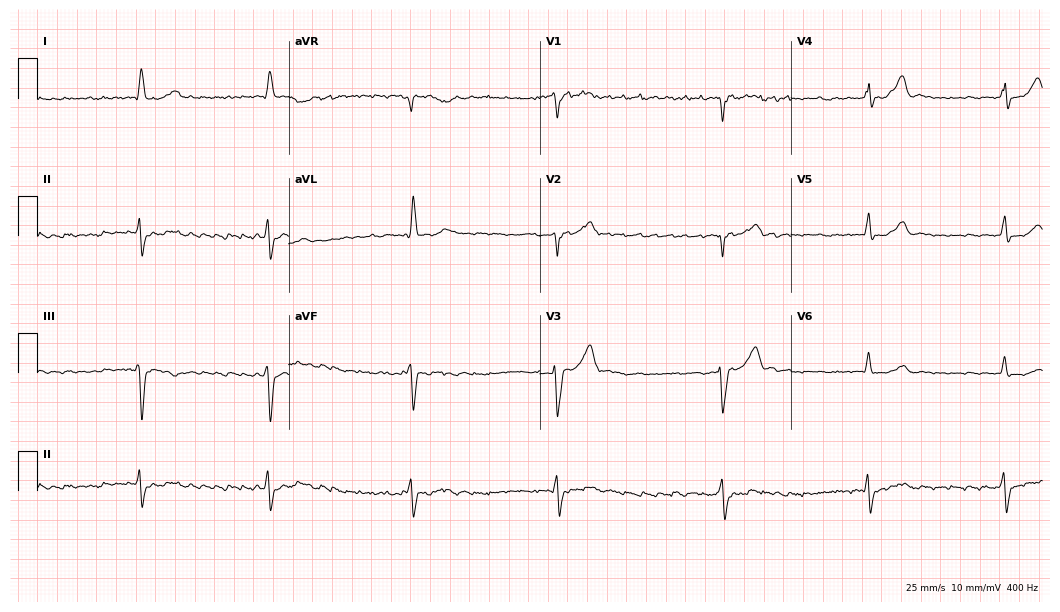
ECG (10.2-second recording at 400 Hz) — a woman, 53 years old. Findings include atrial fibrillation.